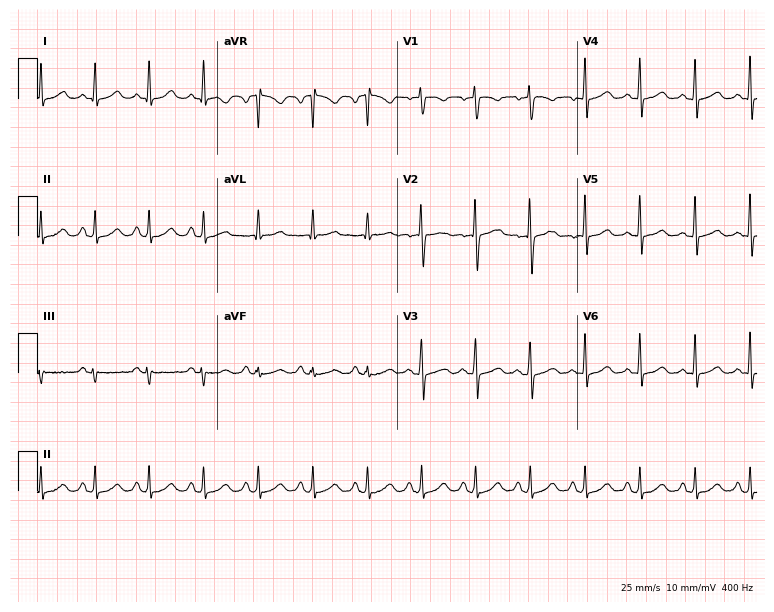
ECG — a 38-year-old female patient. Findings include sinus tachycardia (a sinus rate of 100 beats per minute or more).